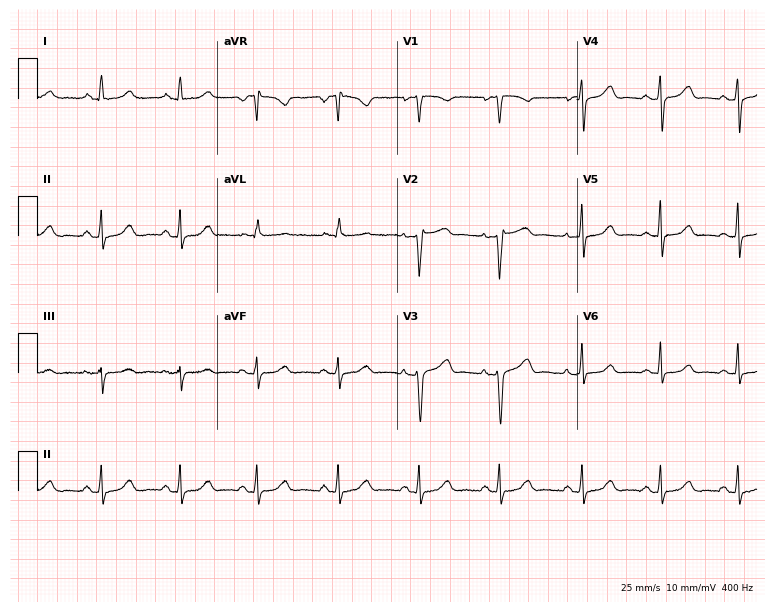
Standard 12-lead ECG recorded from a 37-year-old woman. Read as a normal ECG.